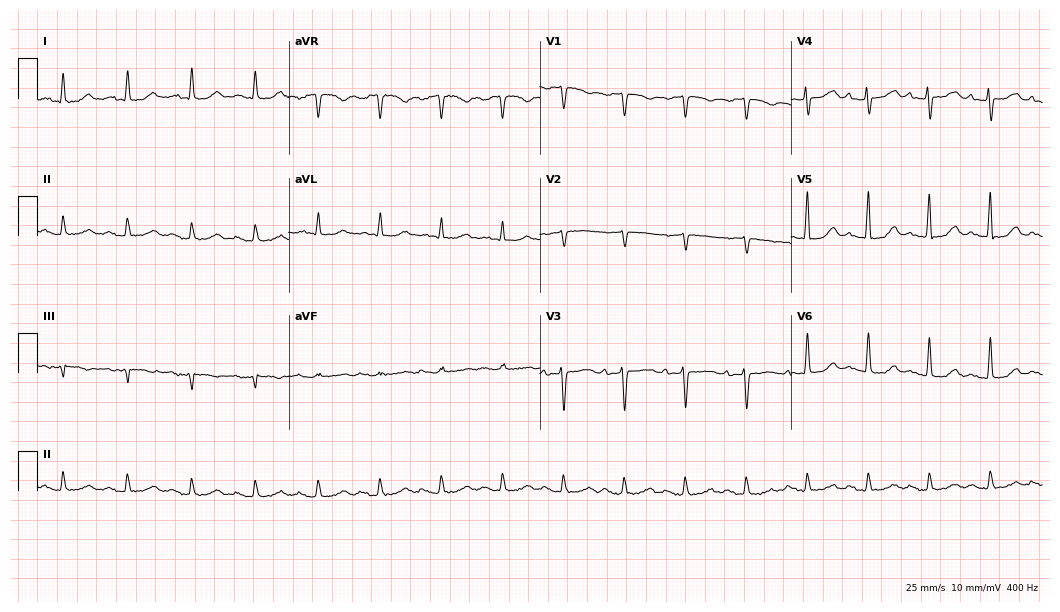
ECG (10.2-second recording at 400 Hz) — an 83-year-old female patient. Findings include first-degree AV block.